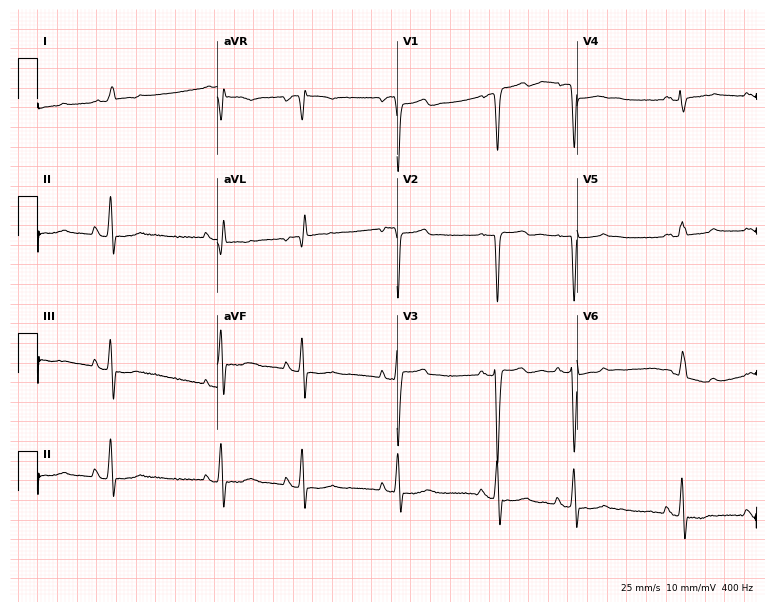
12-lead ECG from a 74-year-old male. No first-degree AV block, right bundle branch block, left bundle branch block, sinus bradycardia, atrial fibrillation or sinus tachycardia recorded for this tracing.